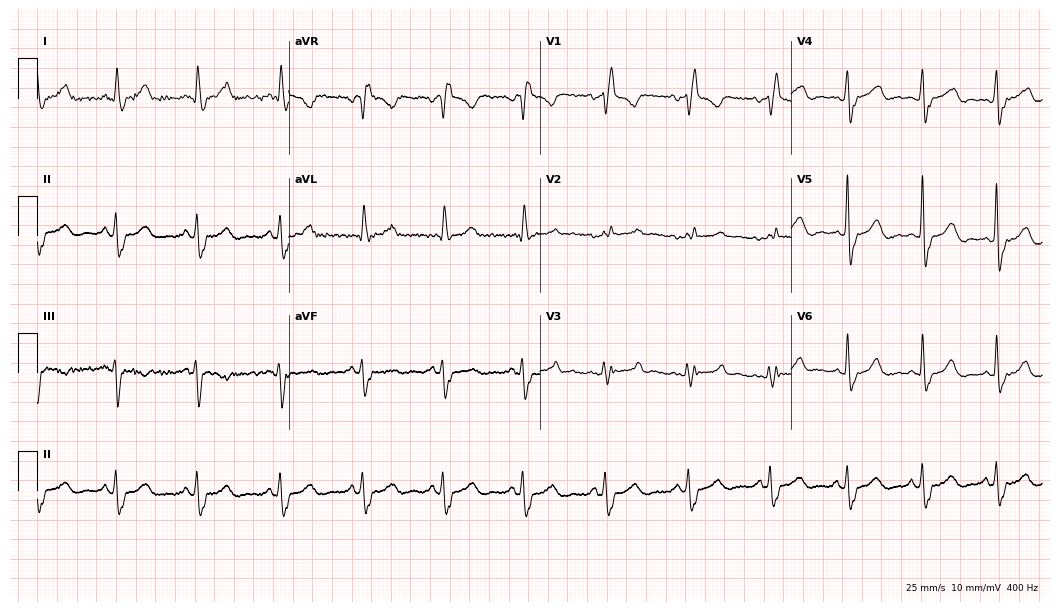
Resting 12-lead electrocardiogram (10.2-second recording at 400 Hz). Patient: a female, 46 years old. The tracing shows right bundle branch block (RBBB).